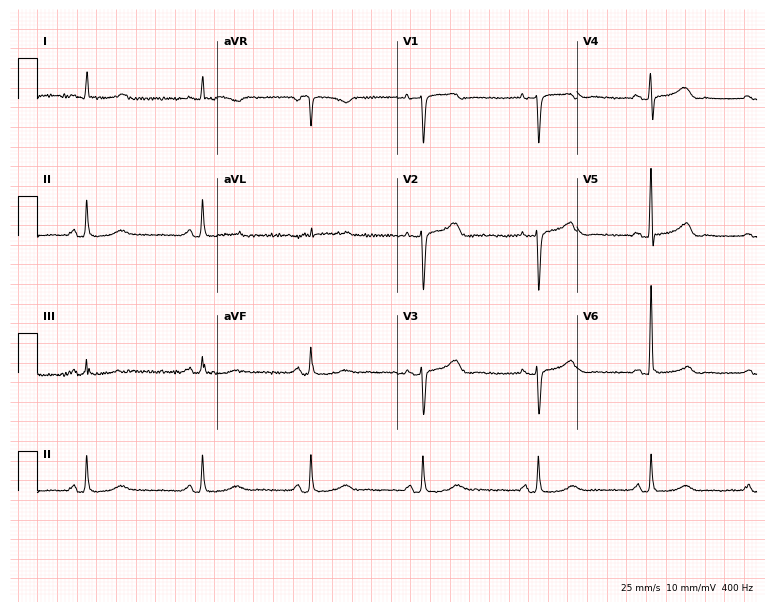
Electrocardiogram (7.3-second recording at 400 Hz), a woman, 70 years old. Overall reading on record: normal ECG.